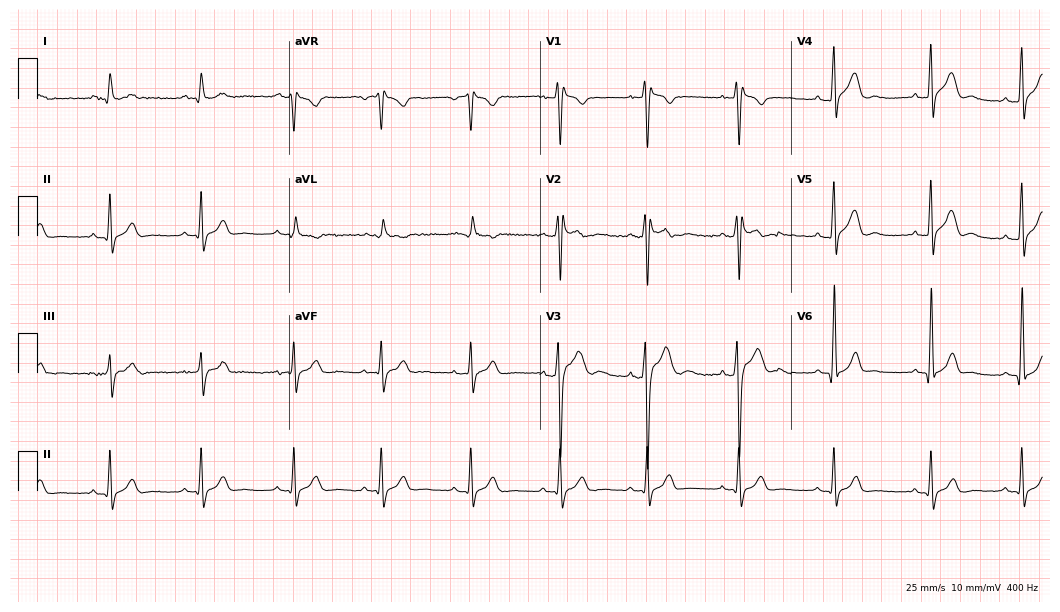
Resting 12-lead electrocardiogram (10.2-second recording at 400 Hz). Patient: an 18-year-old male. None of these six findings is recorded: first-degree AV block, right bundle branch block, left bundle branch block, sinus bradycardia, atrial fibrillation, sinus tachycardia. Other findings, if any, are not listed.